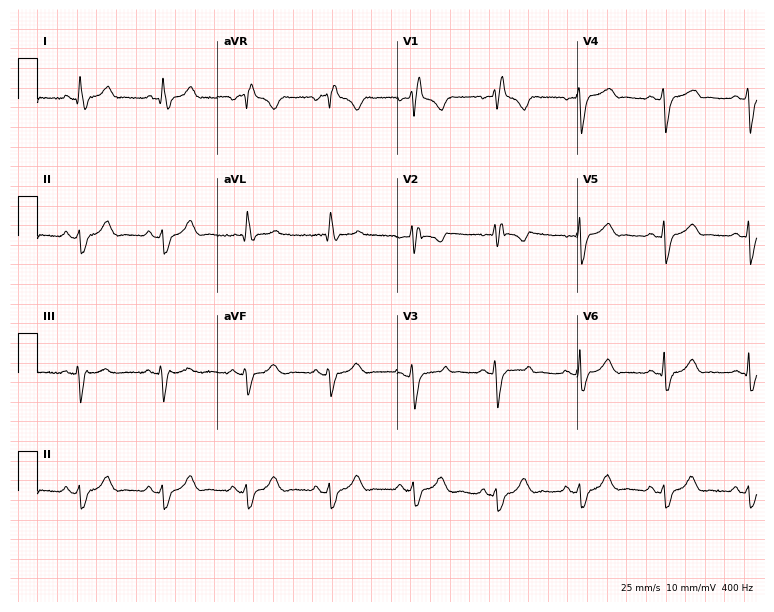
12-lead ECG (7.3-second recording at 400 Hz) from a woman, 40 years old. Findings include right bundle branch block.